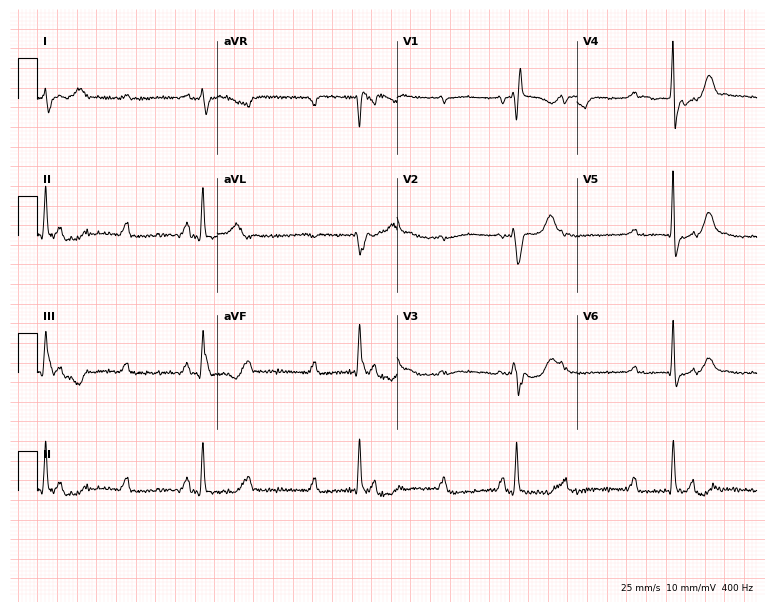
Resting 12-lead electrocardiogram (7.3-second recording at 400 Hz). Patient: a female, 60 years old. The tracing shows right bundle branch block.